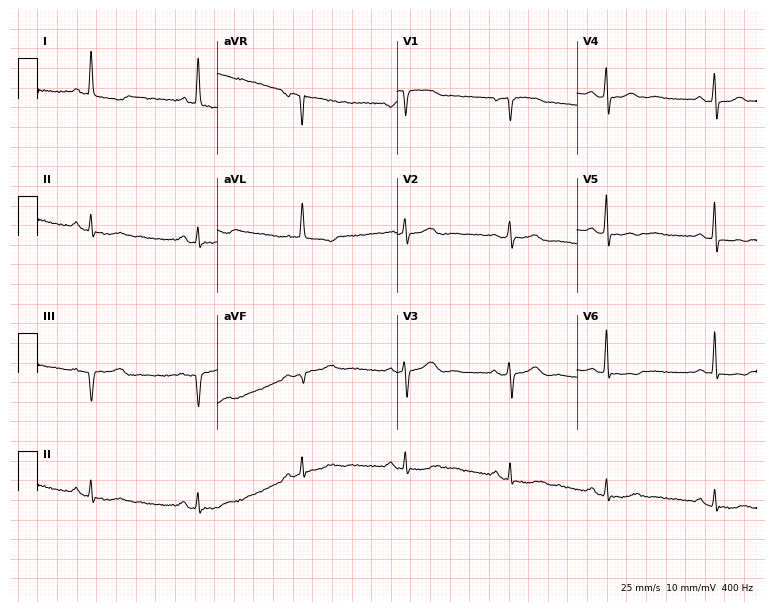
ECG — a 67-year-old female patient. Screened for six findings — first-degree AV block, right bundle branch block (RBBB), left bundle branch block (LBBB), sinus bradycardia, atrial fibrillation (AF), sinus tachycardia — none is recorded.